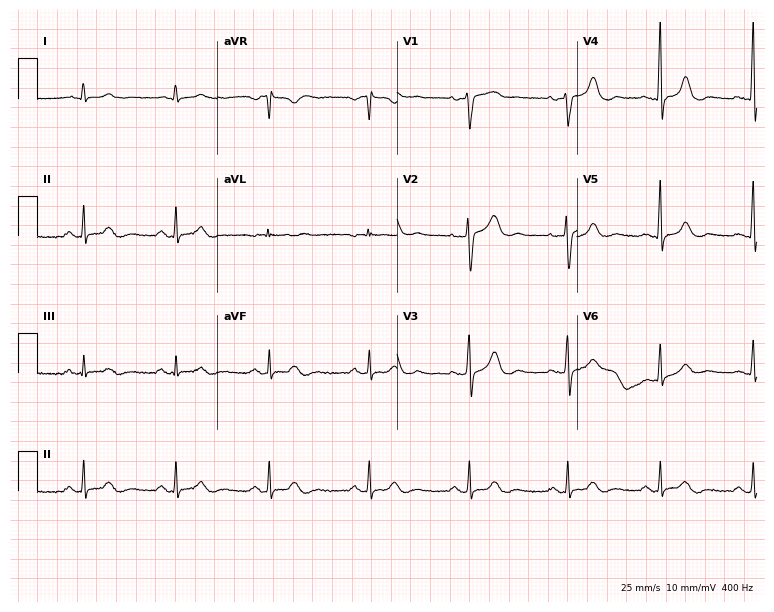
Resting 12-lead electrocardiogram (7.3-second recording at 400 Hz). Patient: a 59-year-old female. None of these six findings is recorded: first-degree AV block, right bundle branch block, left bundle branch block, sinus bradycardia, atrial fibrillation, sinus tachycardia.